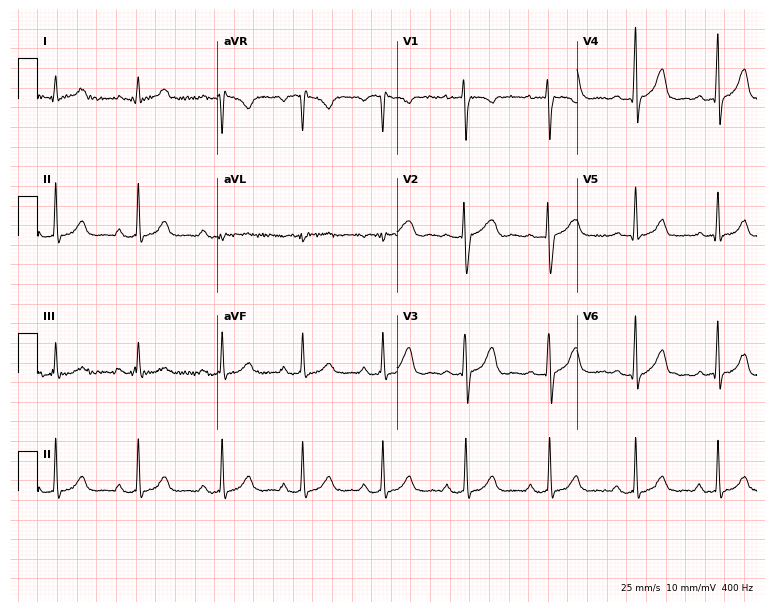
12-lead ECG (7.3-second recording at 400 Hz) from a 31-year-old woman. Labelled as a normal ECG.